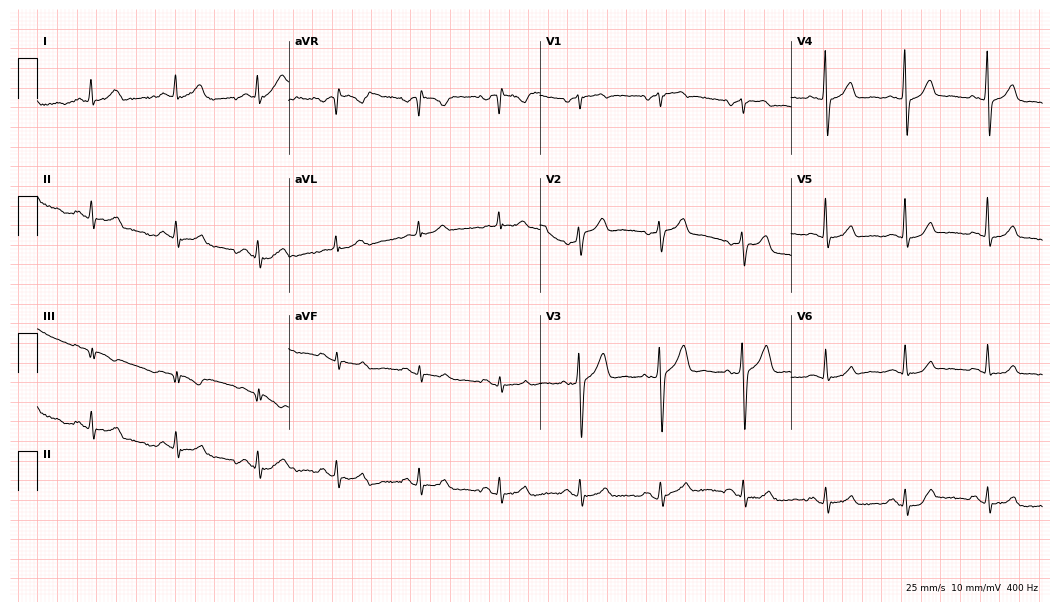
ECG (10.2-second recording at 400 Hz) — a 42-year-old female. Screened for six findings — first-degree AV block, right bundle branch block, left bundle branch block, sinus bradycardia, atrial fibrillation, sinus tachycardia — none is recorded. Findings outside these six are not listed.